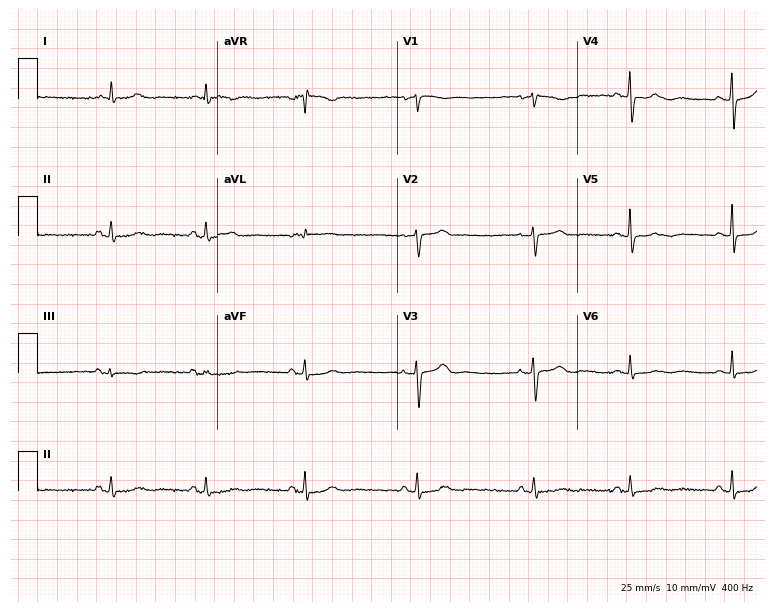
Electrocardiogram, a woman, 53 years old. Overall reading on record: normal ECG.